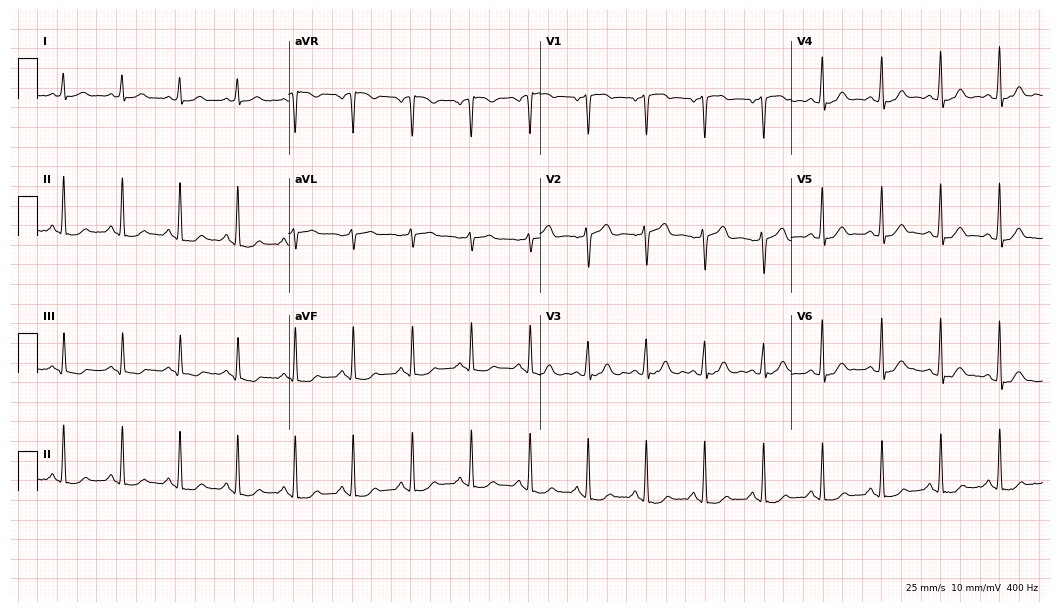
Standard 12-lead ECG recorded from a 57-year-old male. The tracing shows sinus tachycardia (a sinus rate of 100 beats per minute or more).